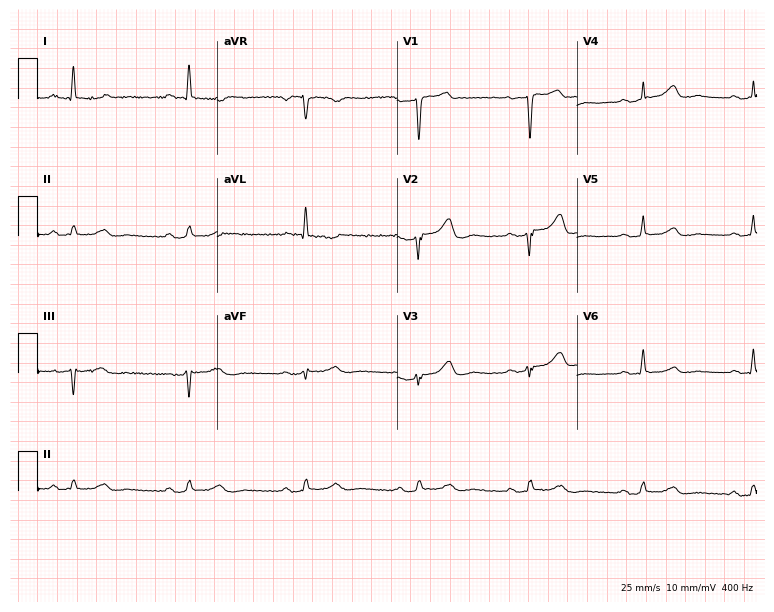
12-lead ECG from a 50-year-old female patient (7.3-second recording at 400 Hz). No first-degree AV block, right bundle branch block, left bundle branch block, sinus bradycardia, atrial fibrillation or sinus tachycardia recorded for this tracing. Other findings, if any, are not listed.